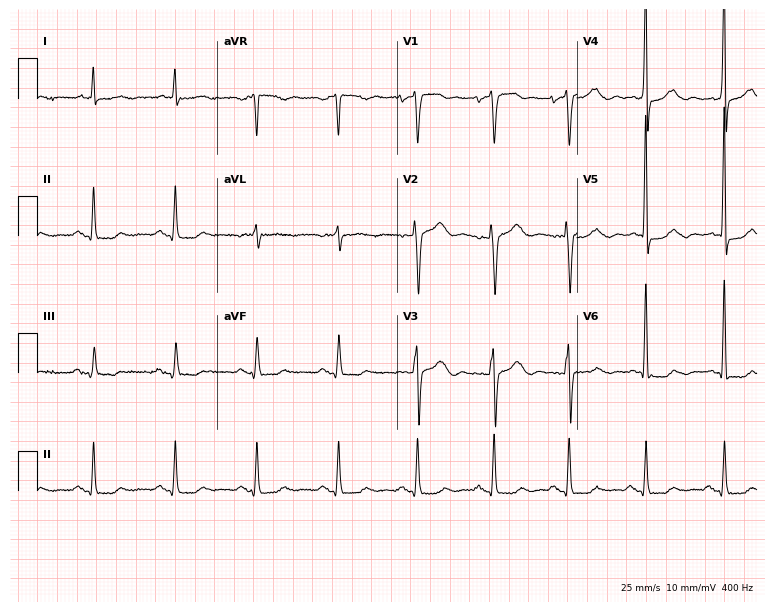
12-lead ECG from a 77-year-old man. Screened for six findings — first-degree AV block, right bundle branch block, left bundle branch block, sinus bradycardia, atrial fibrillation, sinus tachycardia — none is recorded.